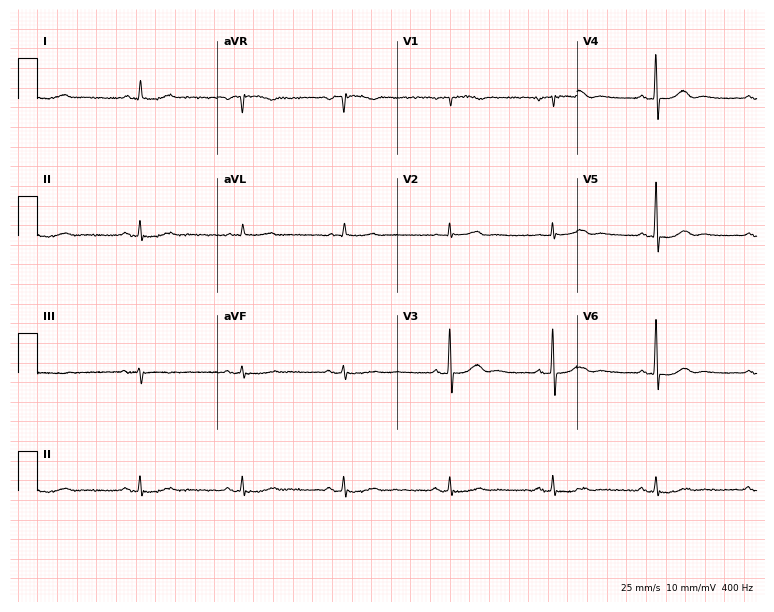
Electrocardiogram (7.3-second recording at 400 Hz), a 61-year-old female. Of the six screened findings (first-degree AV block, right bundle branch block, left bundle branch block, sinus bradycardia, atrial fibrillation, sinus tachycardia), none is recorded. Other findings, if any, are not listed.